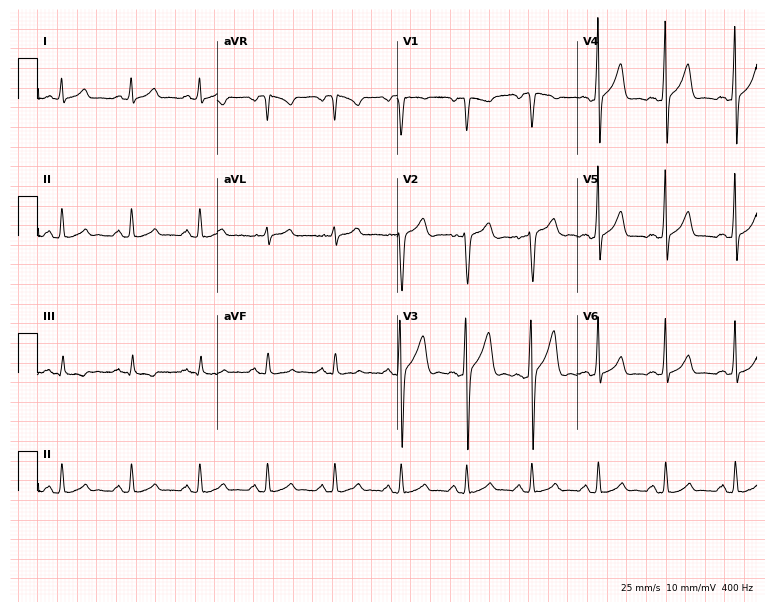
12-lead ECG (7.3-second recording at 400 Hz) from a 39-year-old man. Labelled as a normal ECG.